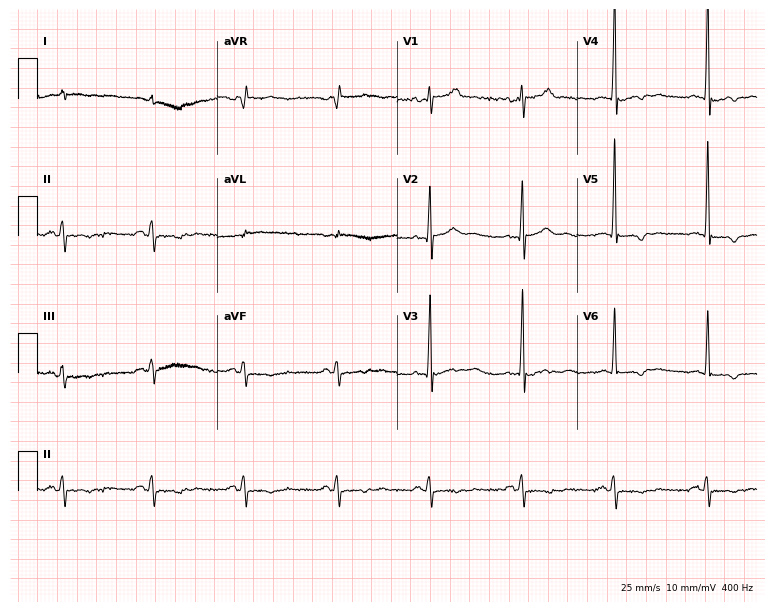
12-lead ECG from a male, 63 years old. Screened for six findings — first-degree AV block, right bundle branch block, left bundle branch block, sinus bradycardia, atrial fibrillation, sinus tachycardia — none is recorded. Findings outside these six are not listed.